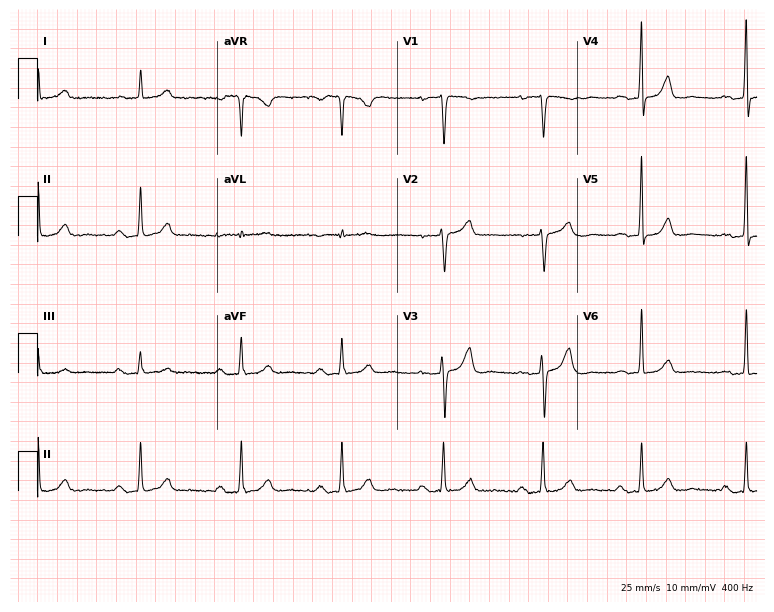
Electrocardiogram, a female patient, 84 years old. Interpretation includes first-degree AV block.